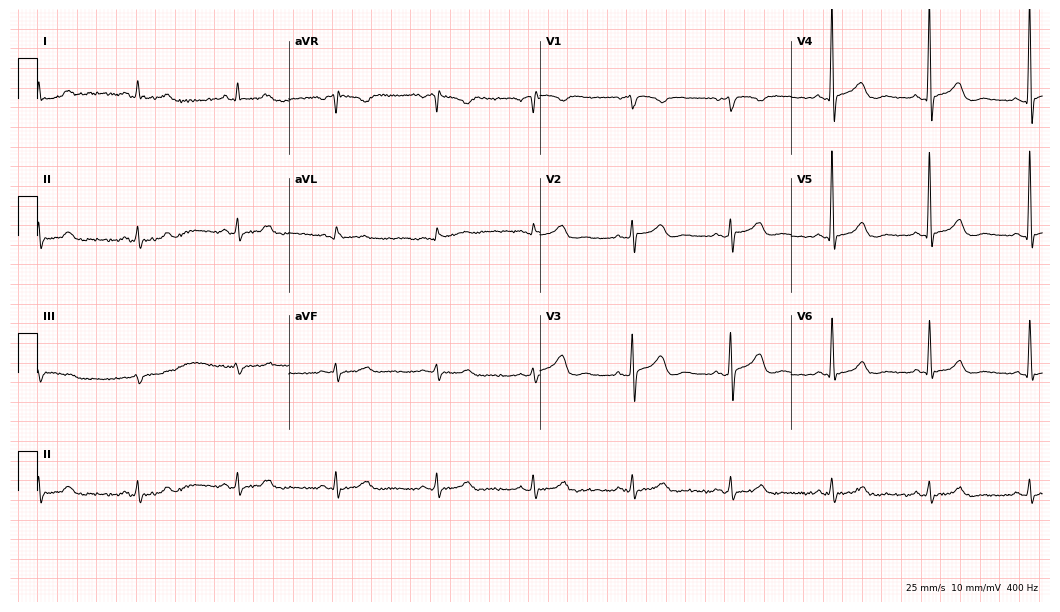
12-lead ECG (10.2-second recording at 400 Hz) from an 83-year-old male patient. Labelled as a normal ECG.